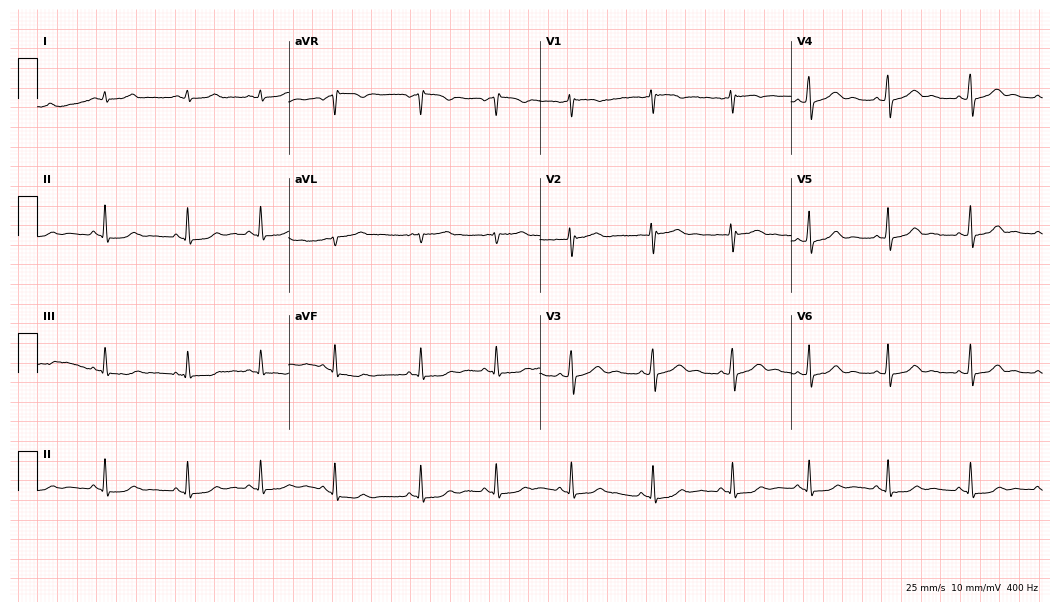
12-lead ECG from a 28-year-old female. Recorded interpretation: within normal limits.